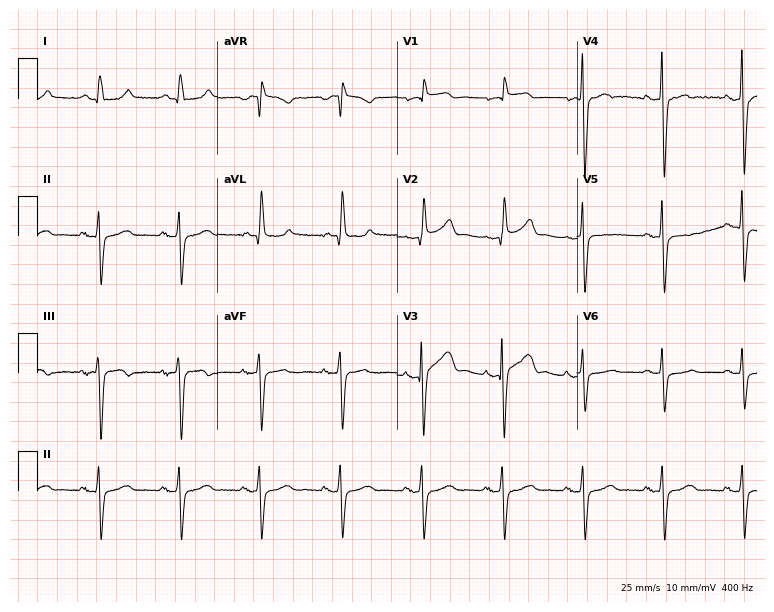
Resting 12-lead electrocardiogram. Patient: a woman, 73 years old. None of these six findings is recorded: first-degree AV block, right bundle branch block, left bundle branch block, sinus bradycardia, atrial fibrillation, sinus tachycardia.